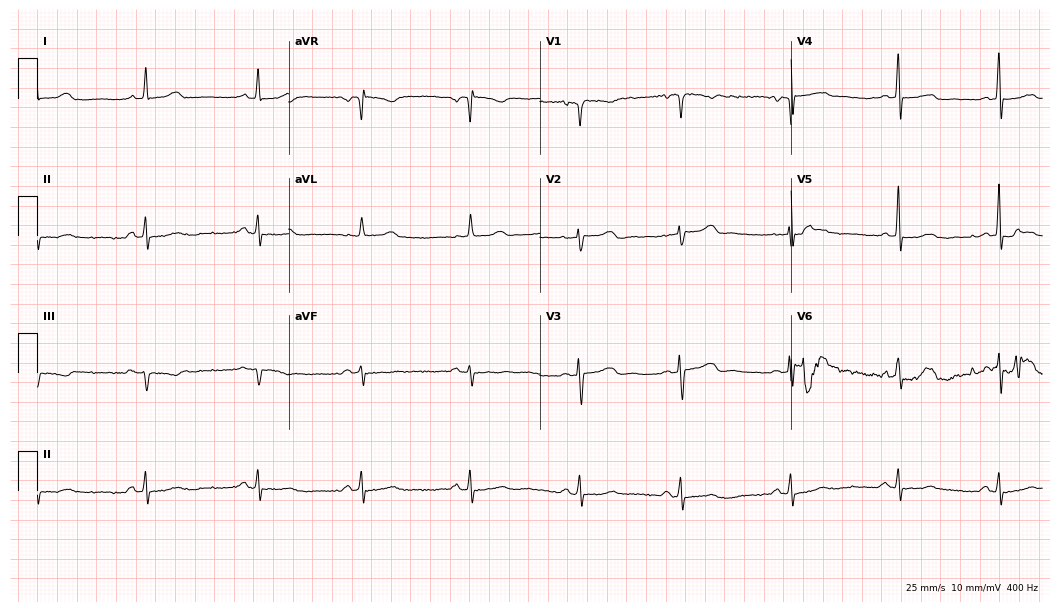
Electrocardiogram (10.2-second recording at 400 Hz), a 35-year-old female patient. Of the six screened findings (first-degree AV block, right bundle branch block, left bundle branch block, sinus bradycardia, atrial fibrillation, sinus tachycardia), none is recorded. Findings outside these six are not listed.